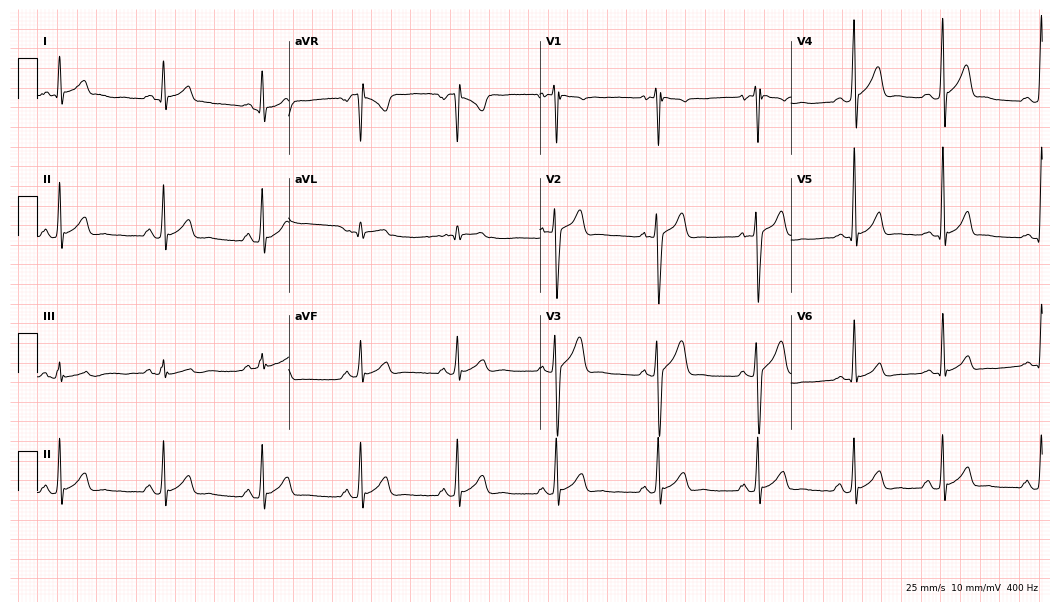
12-lead ECG from an 18-year-old man. No first-degree AV block, right bundle branch block, left bundle branch block, sinus bradycardia, atrial fibrillation or sinus tachycardia recorded for this tracing.